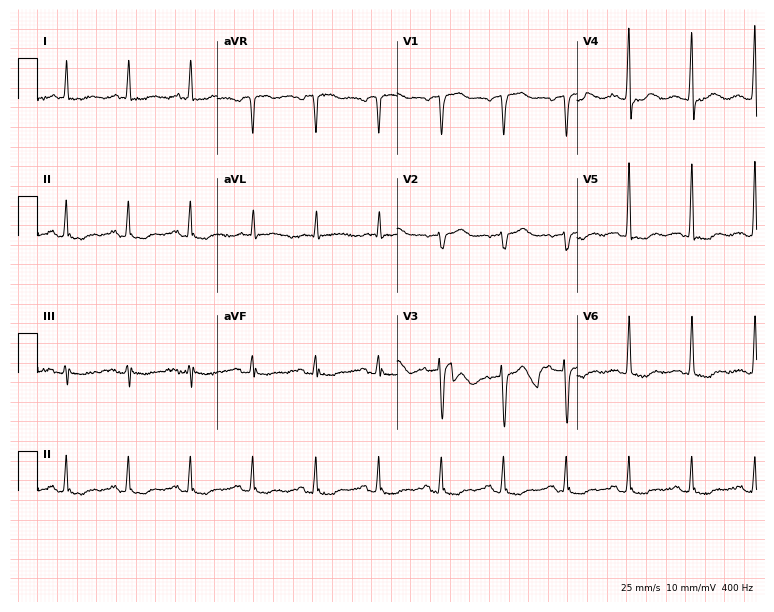
Resting 12-lead electrocardiogram (7.3-second recording at 400 Hz). Patient: a woman, 52 years old. None of these six findings is recorded: first-degree AV block, right bundle branch block, left bundle branch block, sinus bradycardia, atrial fibrillation, sinus tachycardia. Other findings, if any, are not listed.